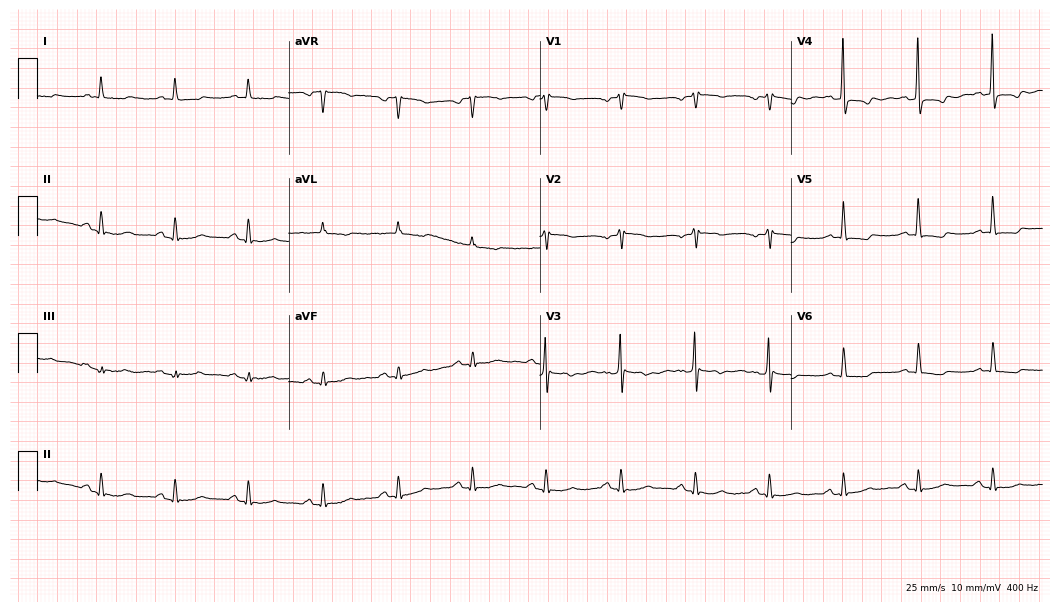
Resting 12-lead electrocardiogram. Patient: a 79-year-old female. None of these six findings is recorded: first-degree AV block, right bundle branch block, left bundle branch block, sinus bradycardia, atrial fibrillation, sinus tachycardia.